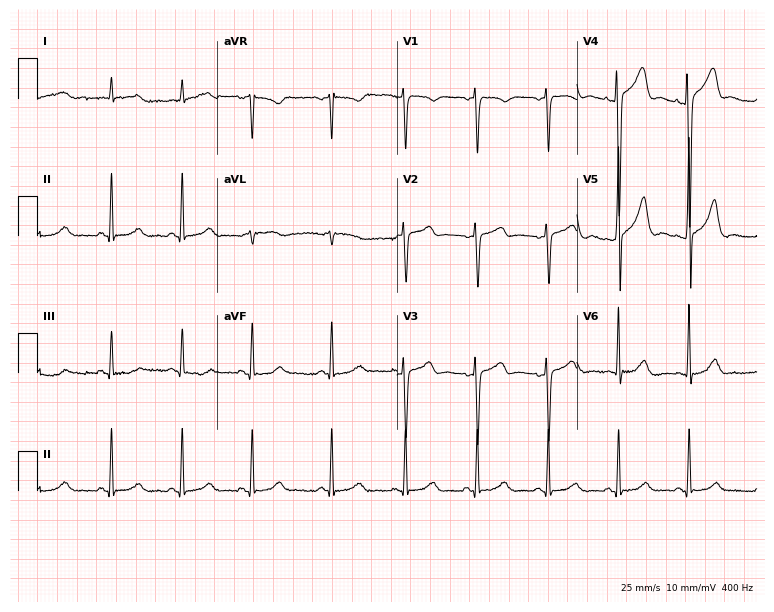
12-lead ECG from an 80-year-old male. Screened for six findings — first-degree AV block, right bundle branch block, left bundle branch block, sinus bradycardia, atrial fibrillation, sinus tachycardia — none is recorded. Findings outside these six are not listed.